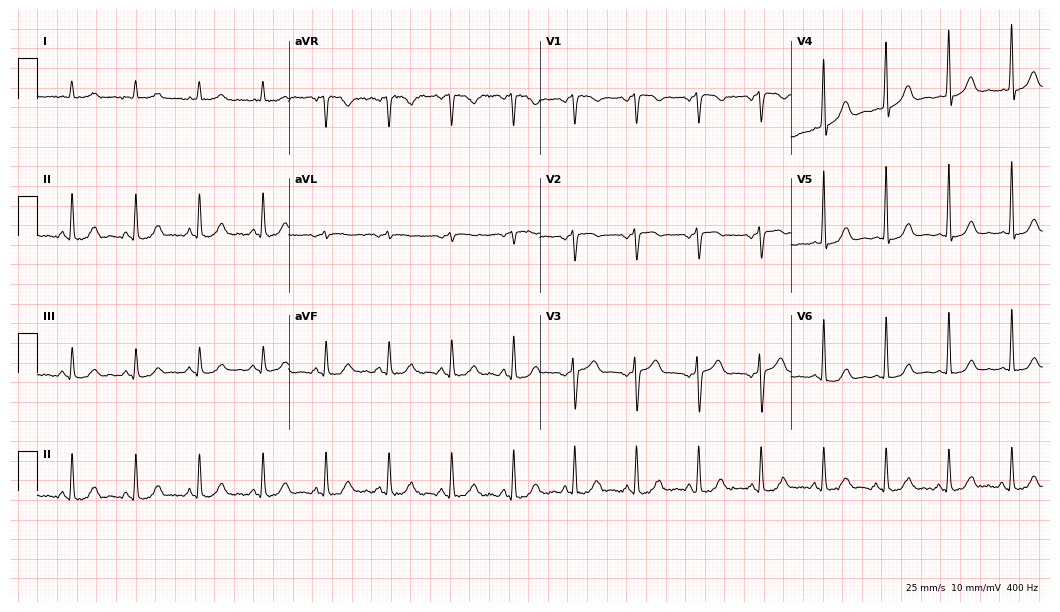
Resting 12-lead electrocardiogram. Patient: a 48-year-old woman. Read as a normal ECG.